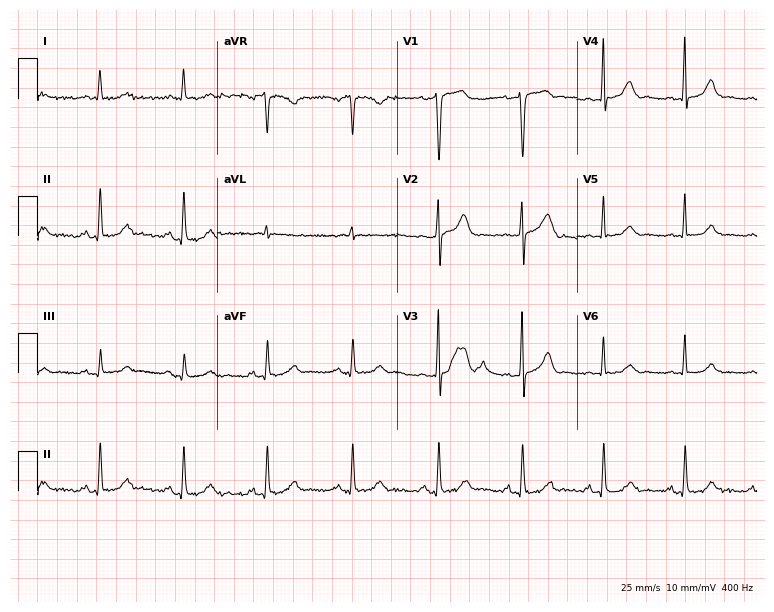
Electrocardiogram (7.3-second recording at 400 Hz), a man, 64 years old. Overall reading on record: normal ECG.